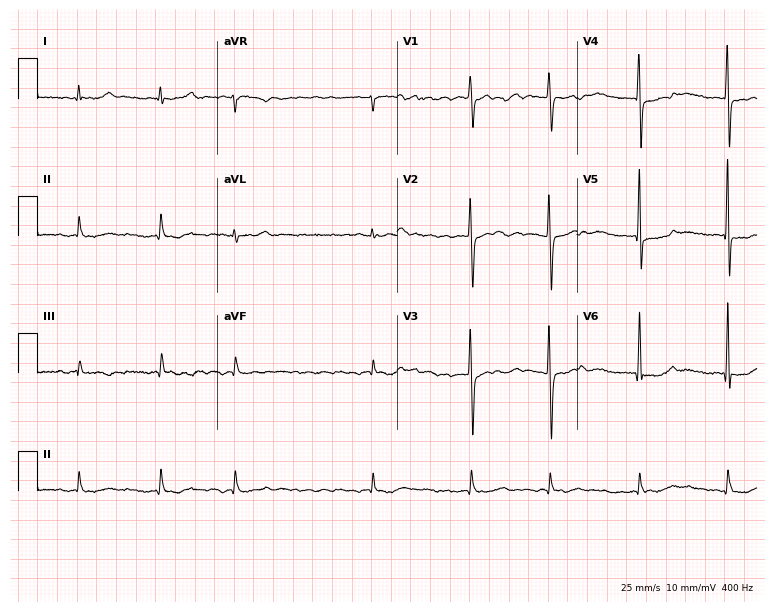
Electrocardiogram, a female, 78 years old. Interpretation includes atrial fibrillation.